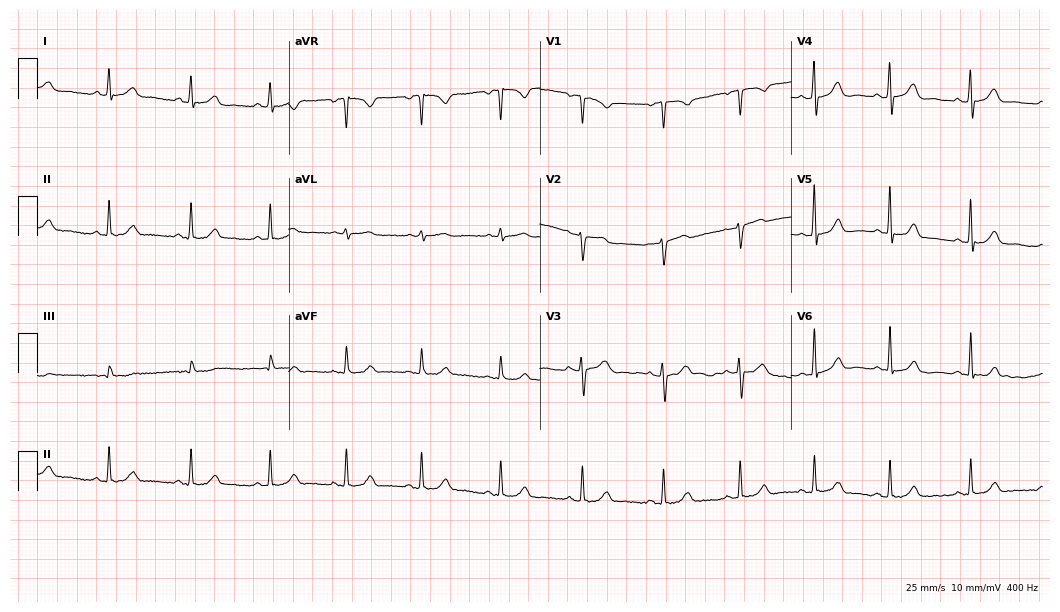
Standard 12-lead ECG recorded from a female, 49 years old. Read as a normal ECG.